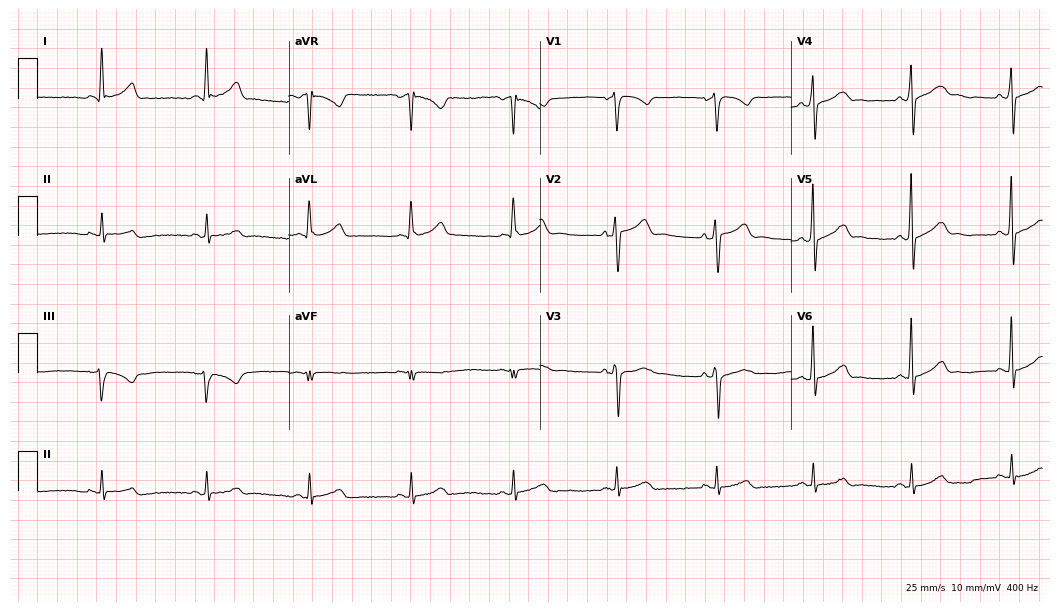
Electrocardiogram (10.2-second recording at 400 Hz), a male, 65 years old. Overall reading on record: normal ECG.